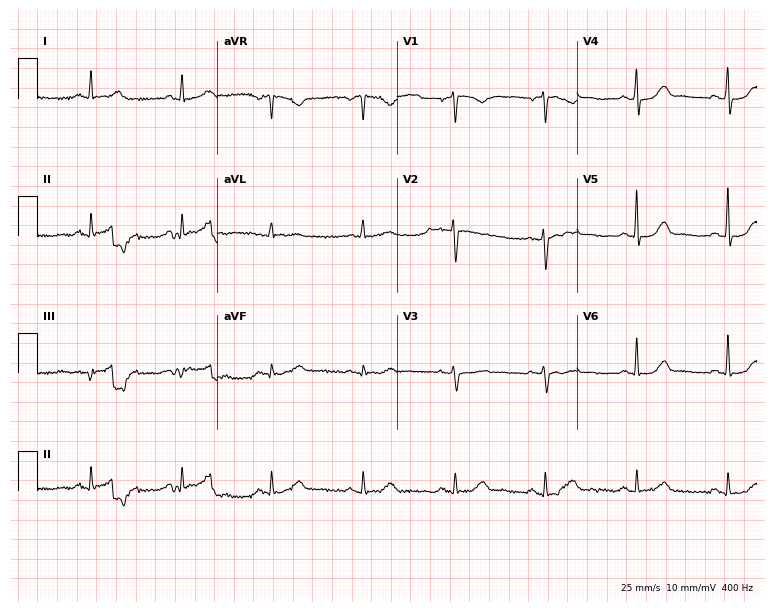
Electrocardiogram, a female, 54 years old. Overall reading on record: normal ECG.